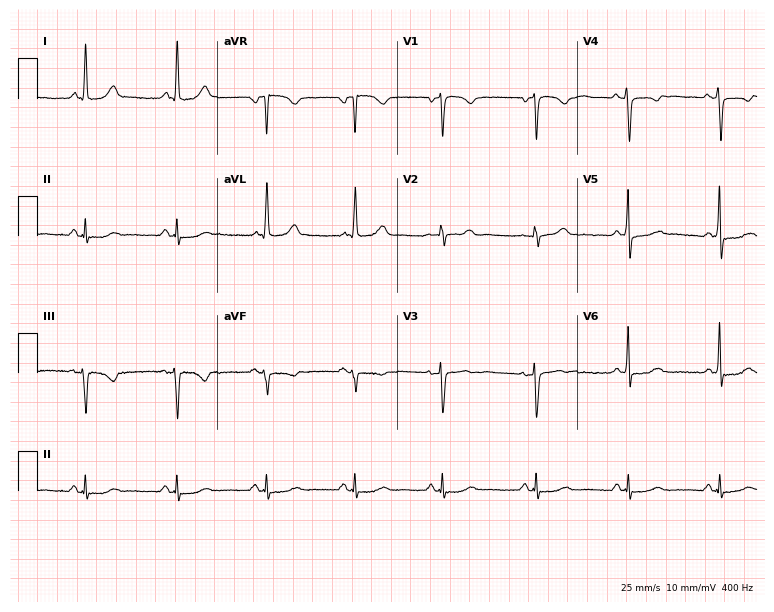
12-lead ECG from a 71-year-old female. Screened for six findings — first-degree AV block, right bundle branch block, left bundle branch block, sinus bradycardia, atrial fibrillation, sinus tachycardia — none is recorded.